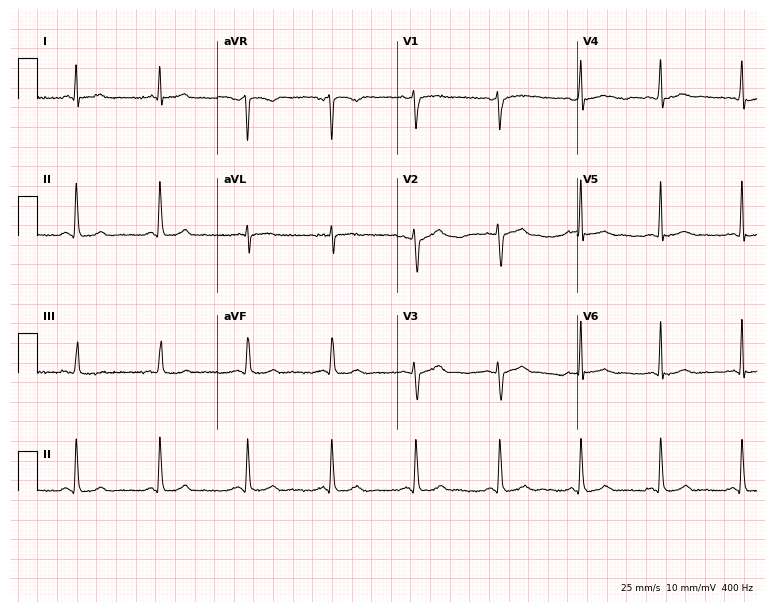
12-lead ECG from a 35-year-old man (7.3-second recording at 400 Hz). Recorded interpretation: within normal limits.